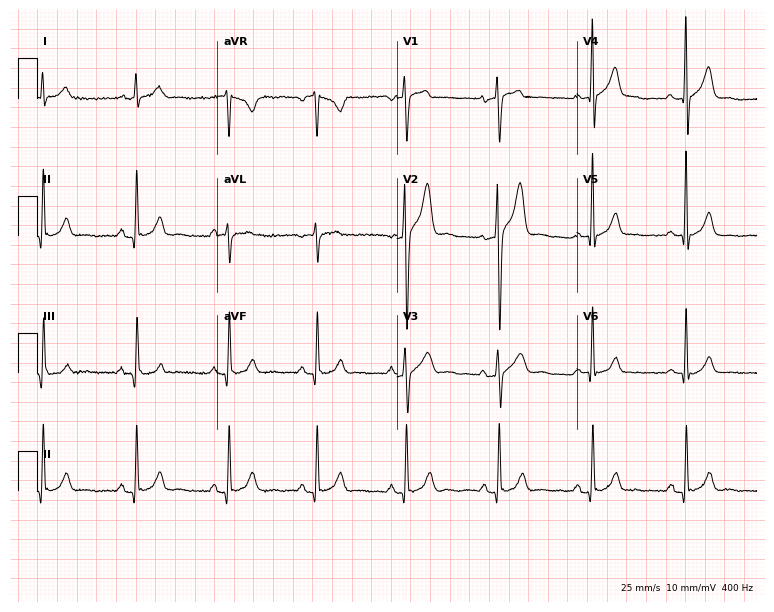
12-lead ECG from a male, 40 years old. No first-degree AV block, right bundle branch block, left bundle branch block, sinus bradycardia, atrial fibrillation or sinus tachycardia recorded for this tracing.